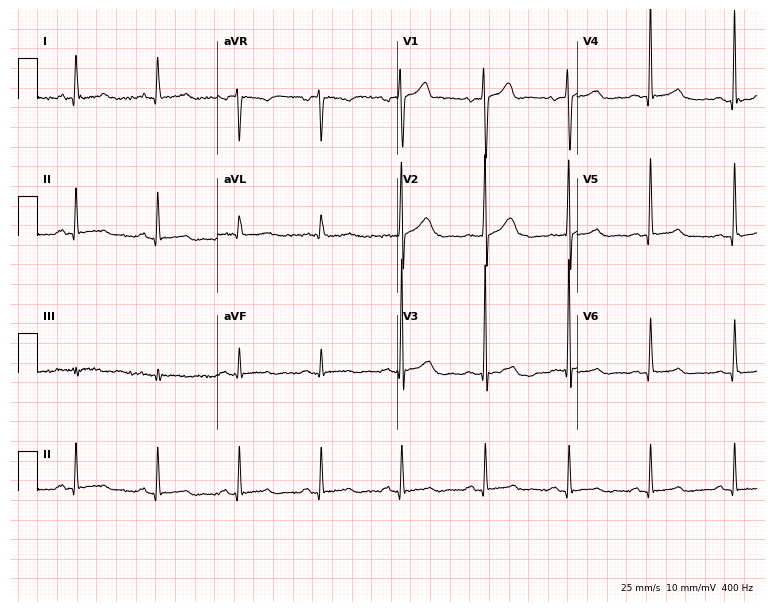
Electrocardiogram (7.3-second recording at 400 Hz), a man, 45 years old. Overall reading on record: normal ECG.